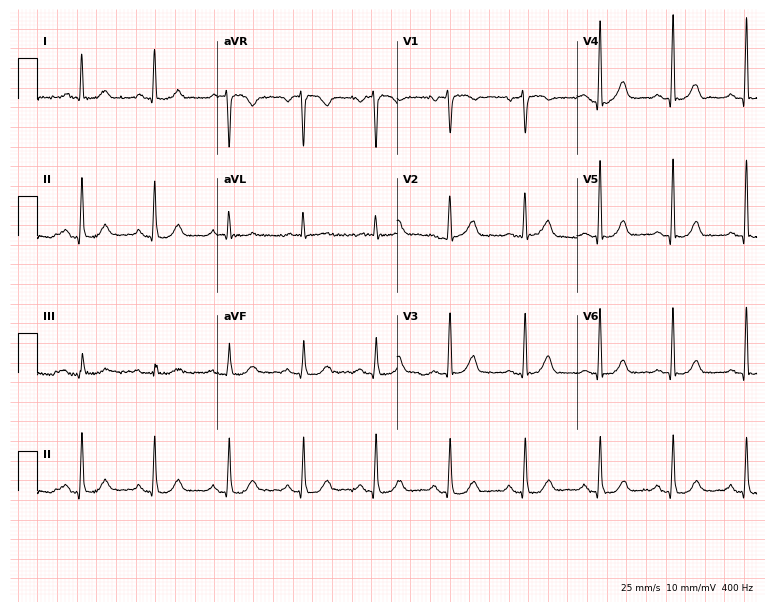
12-lead ECG from a 67-year-old female (7.3-second recording at 400 Hz). Recorded interpretation: within normal limits.